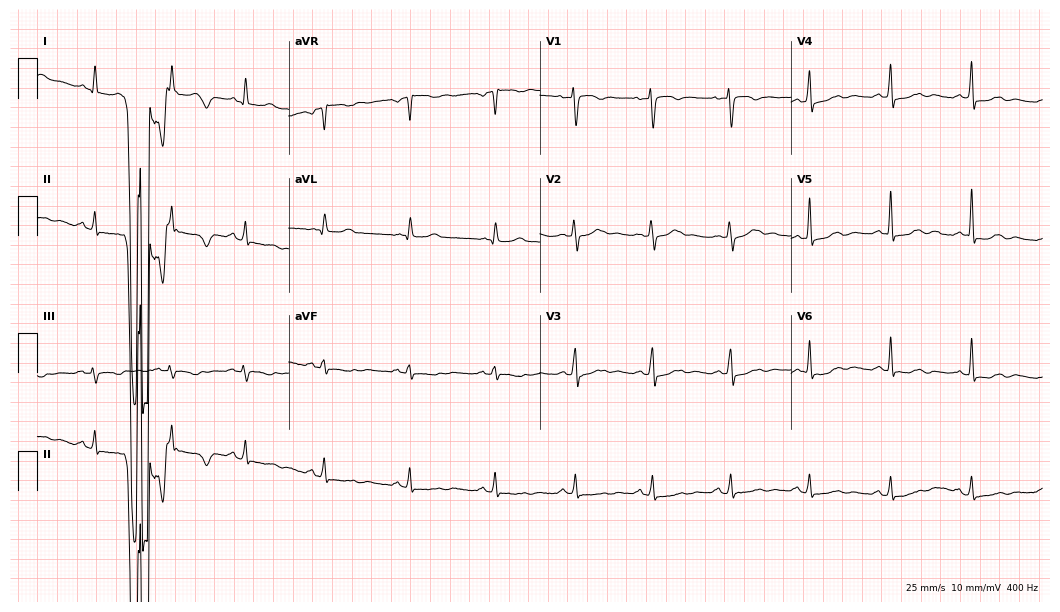
12-lead ECG from a female, 60 years old (10.2-second recording at 400 Hz). No first-degree AV block, right bundle branch block, left bundle branch block, sinus bradycardia, atrial fibrillation or sinus tachycardia recorded for this tracing.